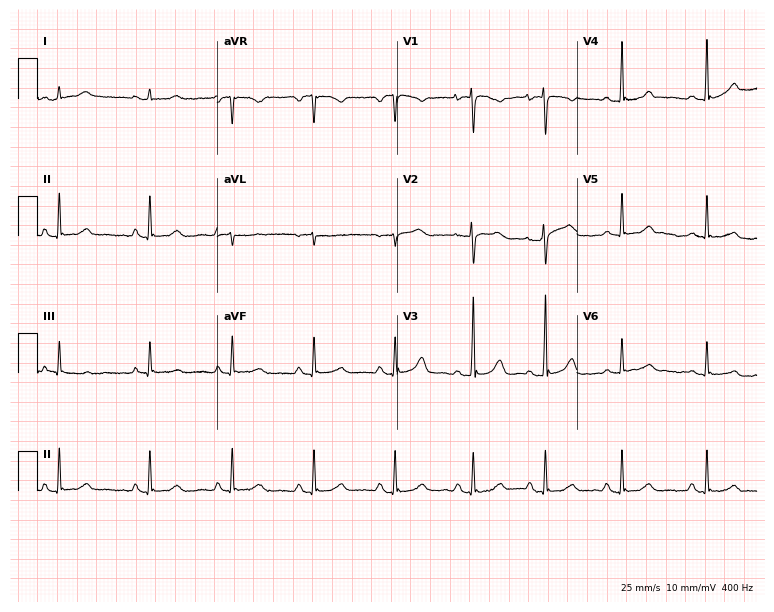
Resting 12-lead electrocardiogram. Patient: a 42-year-old female. None of these six findings is recorded: first-degree AV block, right bundle branch block, left bundle branch block, sinus bradycardia, atrial fibrillation, sinus tachycardia. Other findings, if any, are not listed.